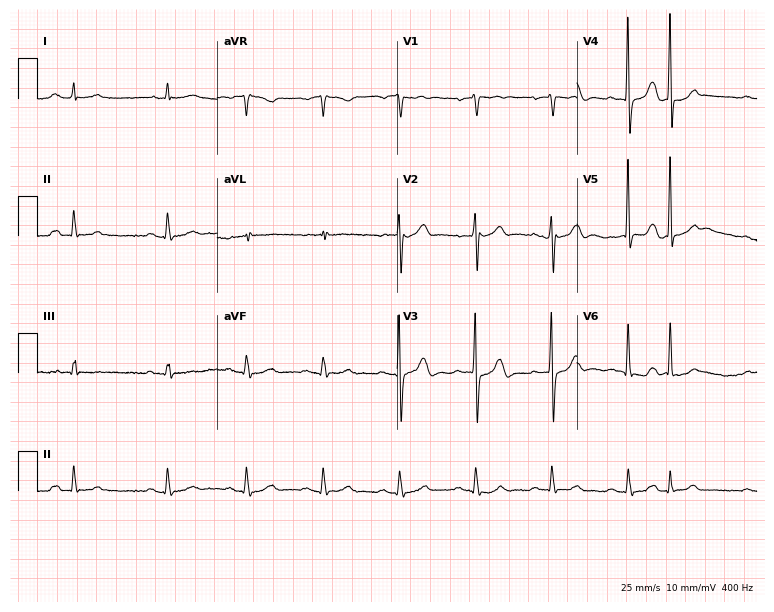
12-lead ECG (7.3-second recording at 400 Hz) from a male patient, 83 years old. Screened for six findings — first-degree AV block, right bundle branch block, left bundle branch block, sinus bradycardia, atrial fibrillation, sinus tachycardia — none is recorded.